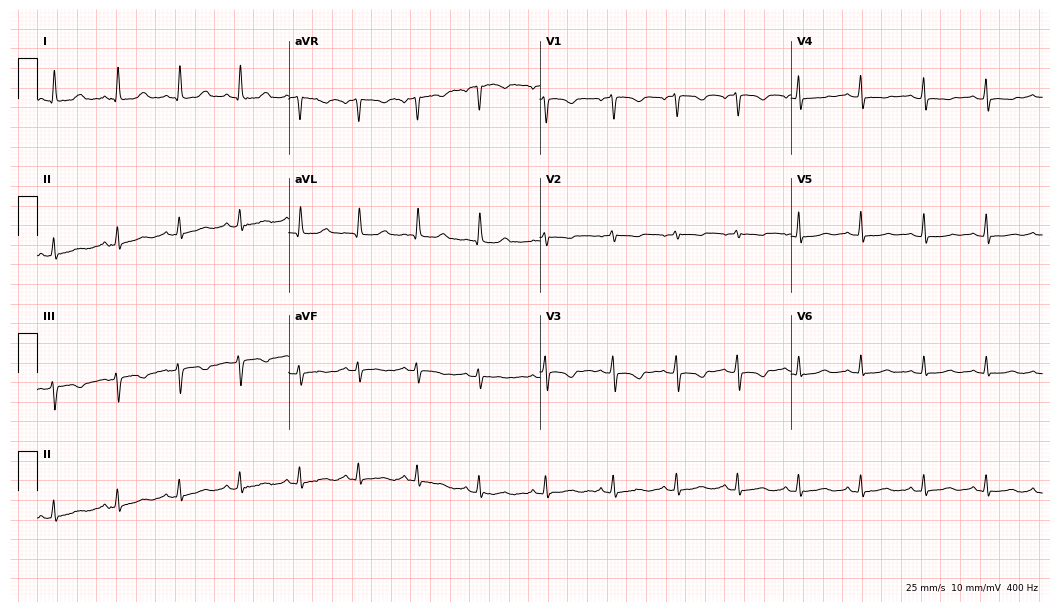
Resting 12-lead electrocardiogram. Patient: a 40-year-old female. Read as a normal ECG.